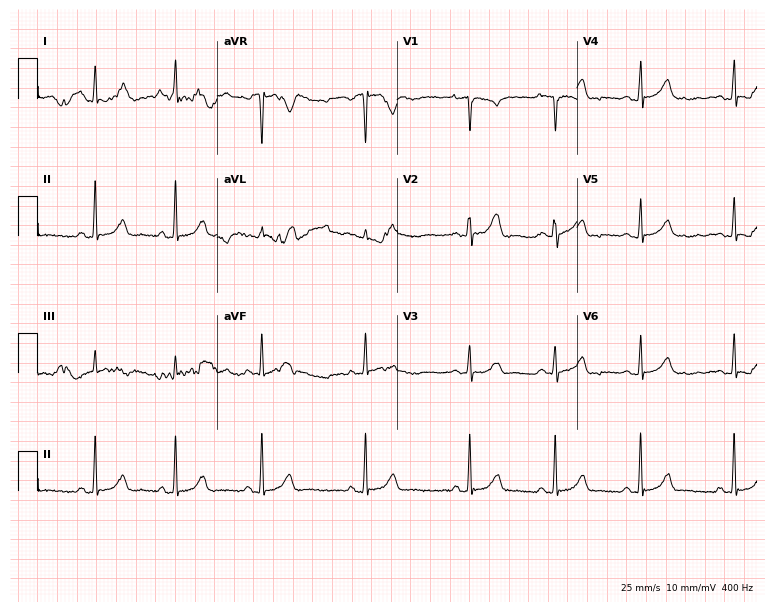
Standard 12-lead ECG recorded from a 23-year-old female patient (7.3-second recording at 400 Hz). Read as a normal ECG.